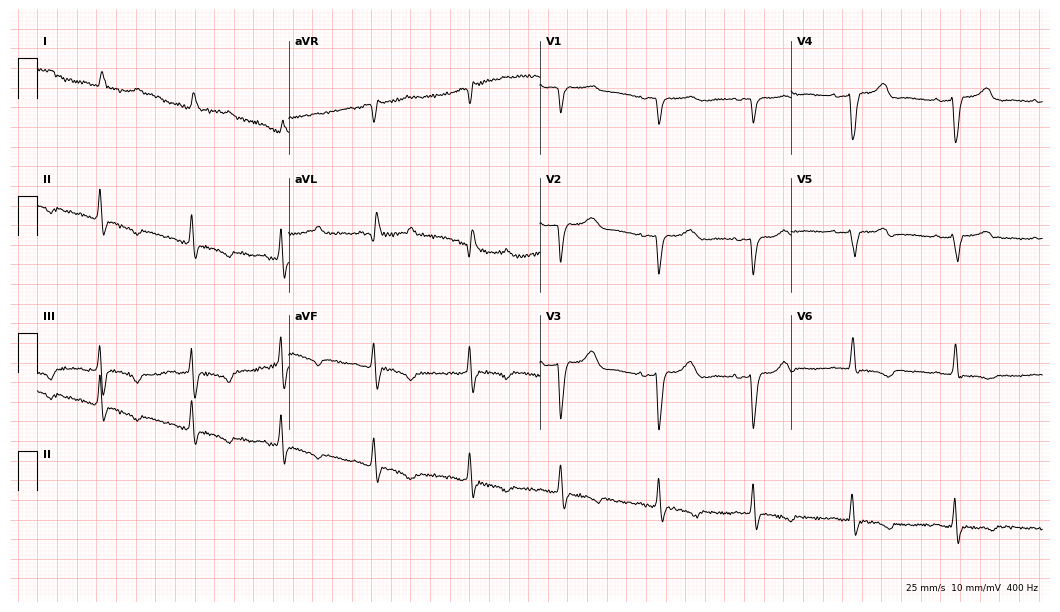
ECG (10.2-second recording at 400 Hz) — a female patient, 82 years old. Screened for six findings — first-degree AV block, right bundle branch block (RBBB), left bundle branch block (LBBB), sinus bradycardia, atrial fibrillation (AF), sinus tachycardia — none is recorded. Other findings, if any, are not listed.